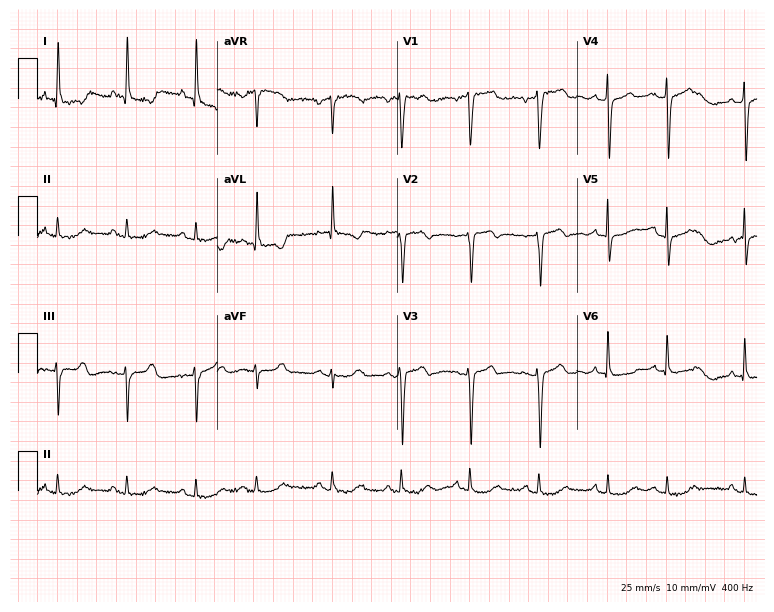
Resting 12-lead electrocardiogram (7.3-second recording at 400 Hz). Patient: a female, 85 years old. None of these six findings is recorded: first-degree AV block, right bundle branch block, left bundle branch block, sinus bradycardia, atrial fibrillation, sinus tachycardia. Other findings, if any, are not listed.